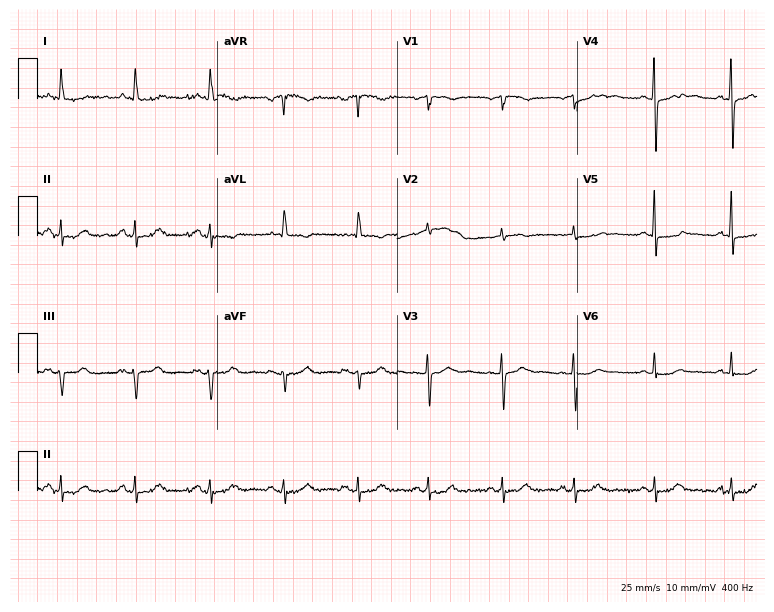
12-lead ECG from a 75-year-old female (7.3-second recording at 400 Hz). No first-degree AV block, right bundle branch block, left bundle branch block, sinus bradycardia, atrial fibrillation or sinus tachycardia recorded for this tracing. Findings outside these six are not listed.